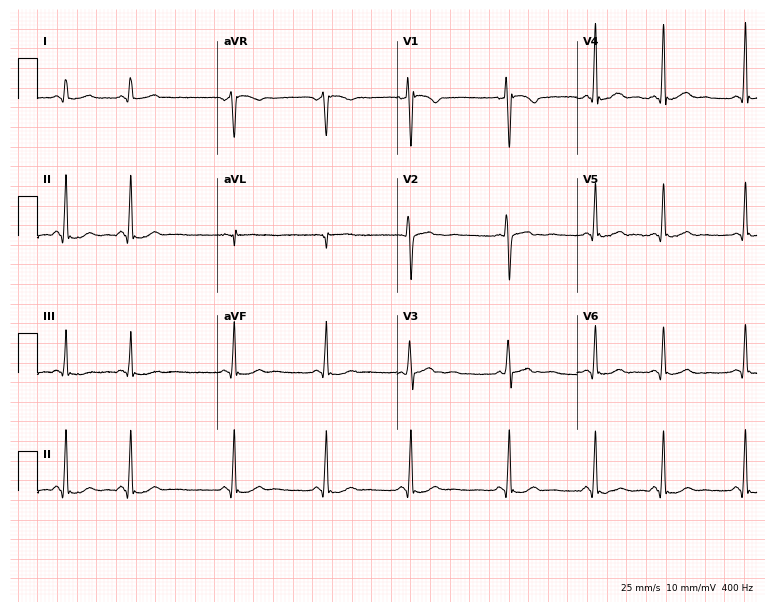
Standard 12-lead ECG recorded from a 17-year-old female. Read as a normal ECG.